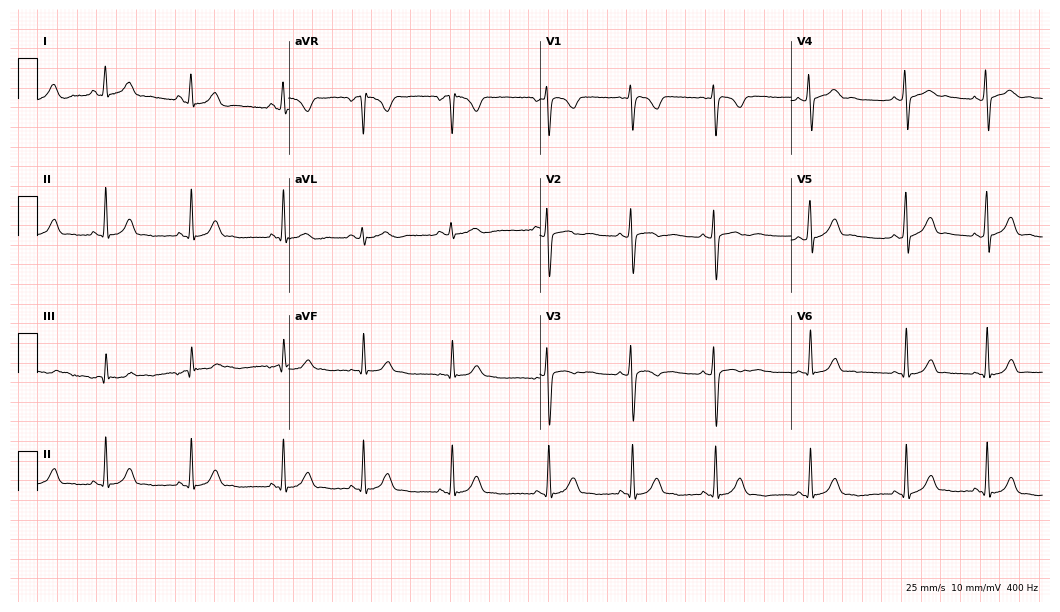
ECG — a 17-year-old female. Screened for six findings — first-degree AV block, right bundle branch block (RBBB), left bundle branch block (LBBB), sinus bradycardia, atrial fibrillation (AF), sinus tachycardia — none is recorded. Other findings, if any, are not listed.